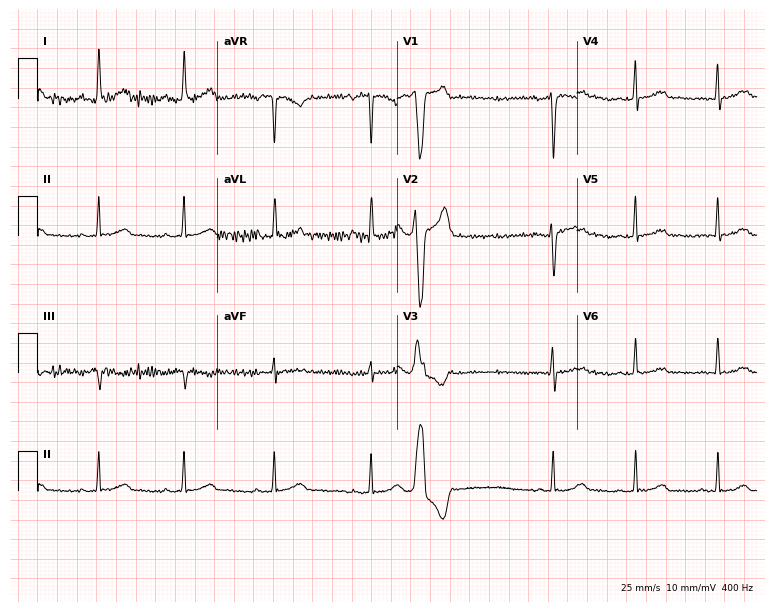
ECG (7.3-second recording at 400 Hz) — a female patient, 44 years old. Screened for six findings — first-degree AV block, right bundle branch block, left bundle branch block, sinus bradycardia, atrial fibrillation, sinus tachycardia — none is recorded. Only these six findings were labelled.